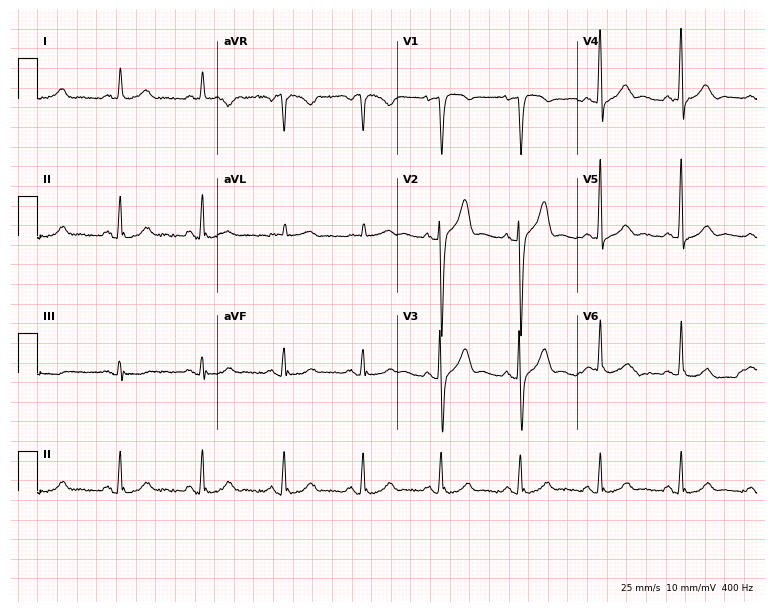
Standard 12-lead ECG recorded from a male, 53 years old. Read as a normal ECG.